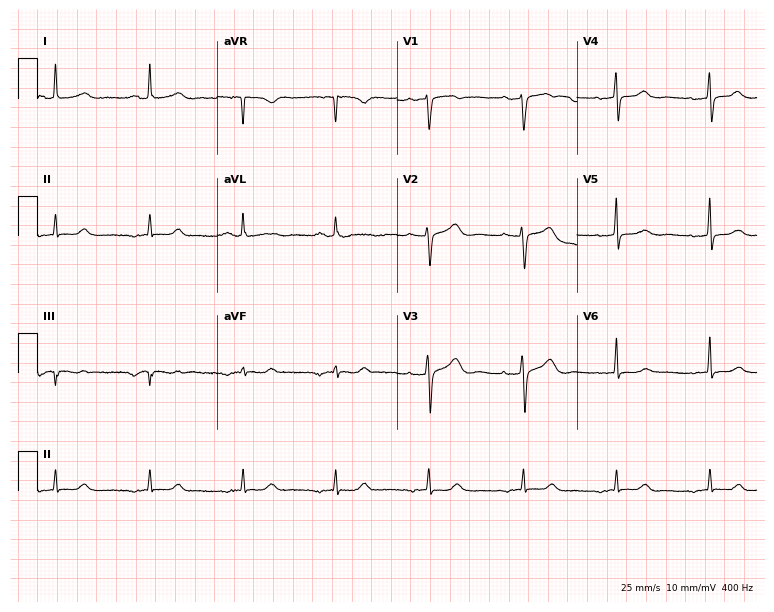
12-lead ECG from a female patient, 55 years old. Labelled as a normal ECG.